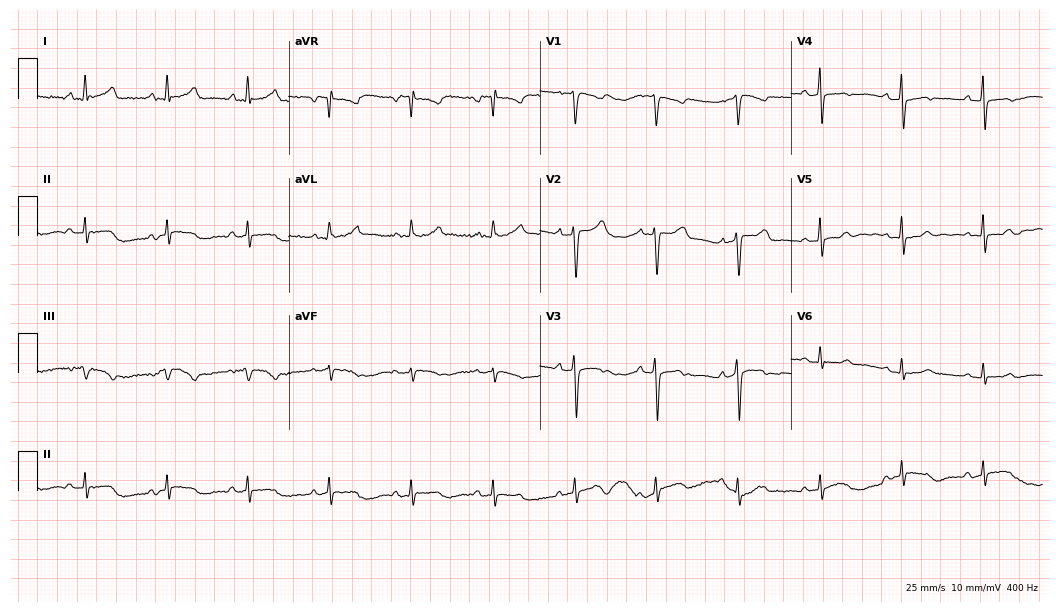
Electrocardiogram (10.2-second recording at 400 Hz), a 66-year-old female. Overall reading on record: normal ECG.